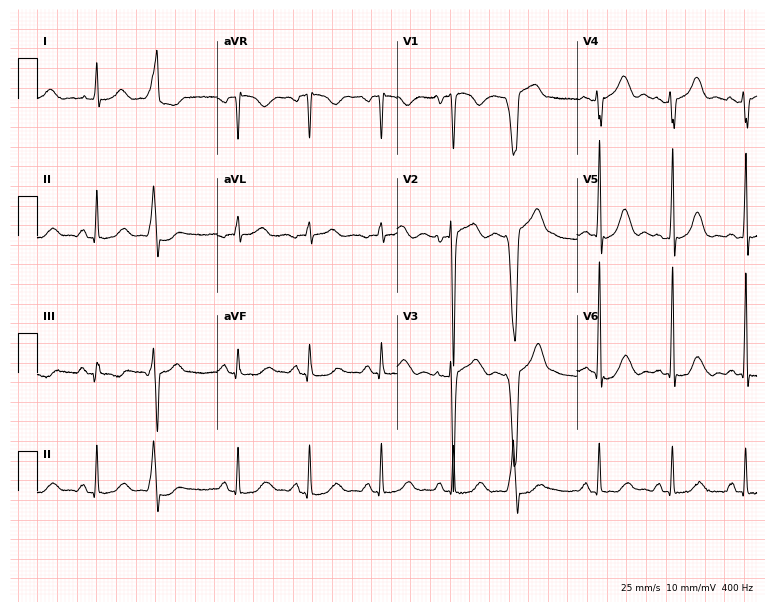
Resting 12-lead electrocardiogram (7.3-second recording at 400 Hz). Patient: a 77-year-old man. None of these six findings is recorded: first-degree AV block, right bundle branch block, left bundle branch block, sinus bradycardia, atrial fibrillation, sinus tachycardia.